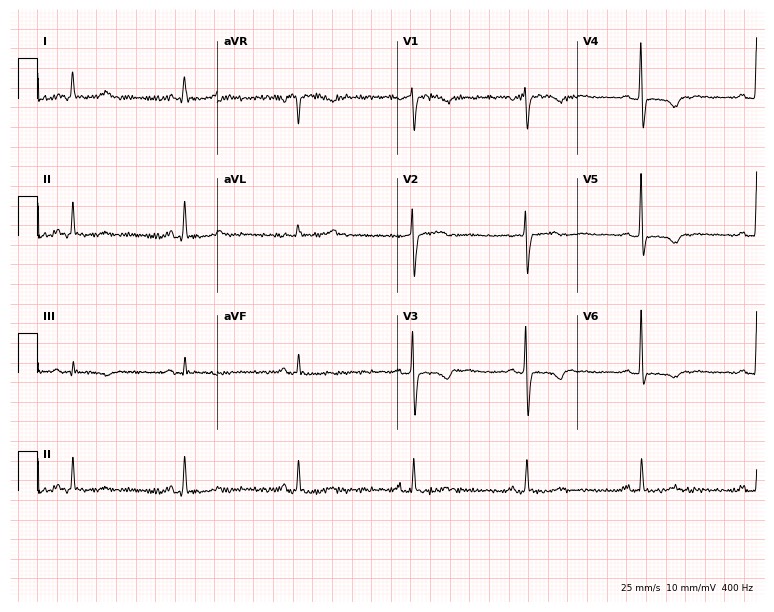
Resting 12-lead electrocardiogram (7.3-second recording at 400 Hz). Patient: a 57-year-old female. None of these six findings is recorded: first-degree AV block, right bundle branch block, left bundle branch block, sinus bradycardia, atrial fibrillation, sinus tachycardia.